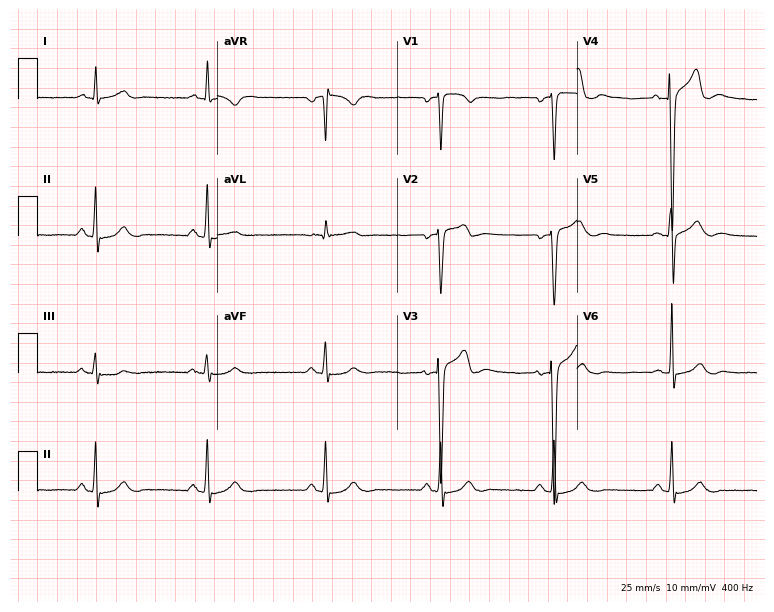
ECG — a man, 47 years old. Screened for six findings — first-degree AV block, right bundle branch block, left bundle branch block, sinus bradycardia, atrial fibrillation, sinus tachycardia — none is recorded.